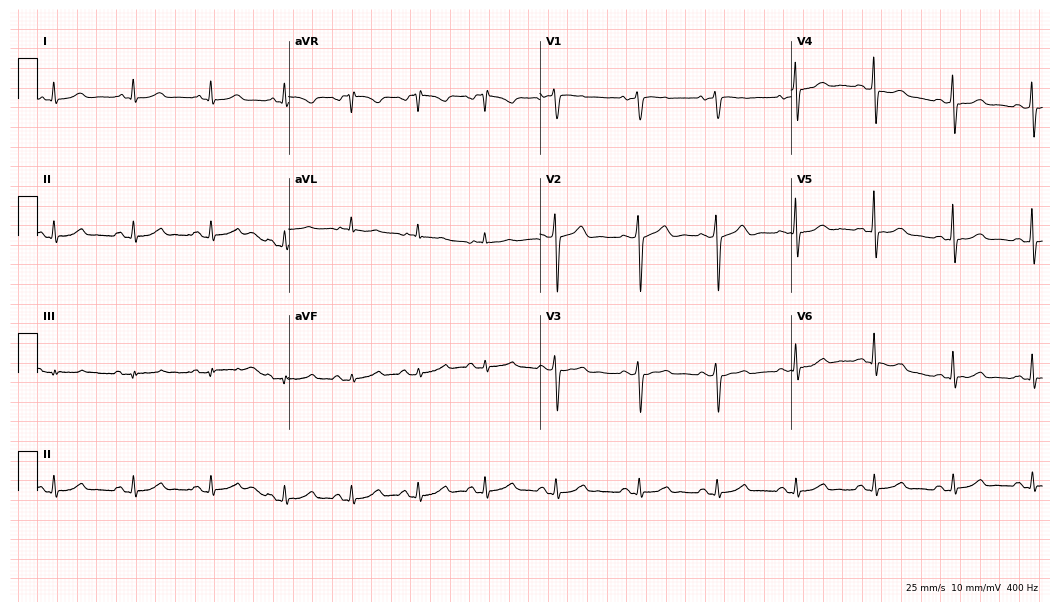
ECG — a man, 72 years old. Labelled as a normal ECG.